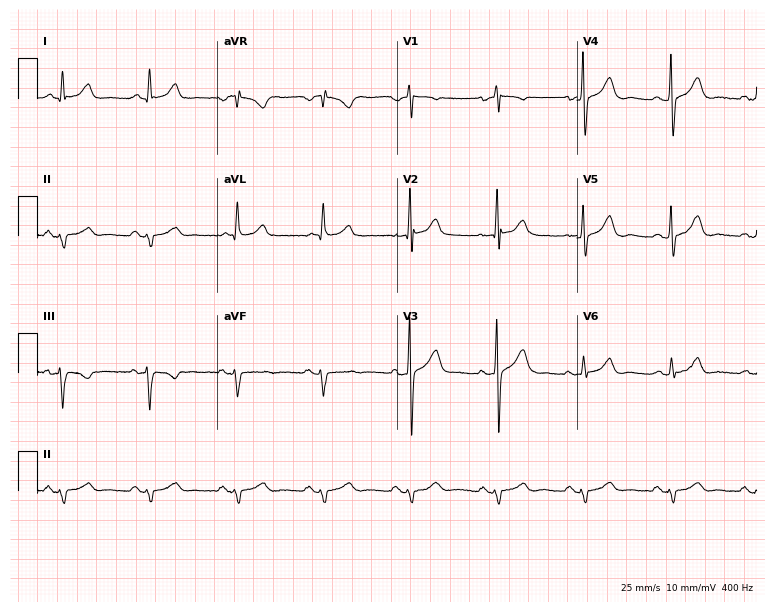
Electrocardiogram, a woman, 61 years old. Of the six screened findings (first-degree AV block, right bundle branch block, left bundle branch block, sinus bradycardia, atrial fibrillation, sinus tachycardia), none is recorded.